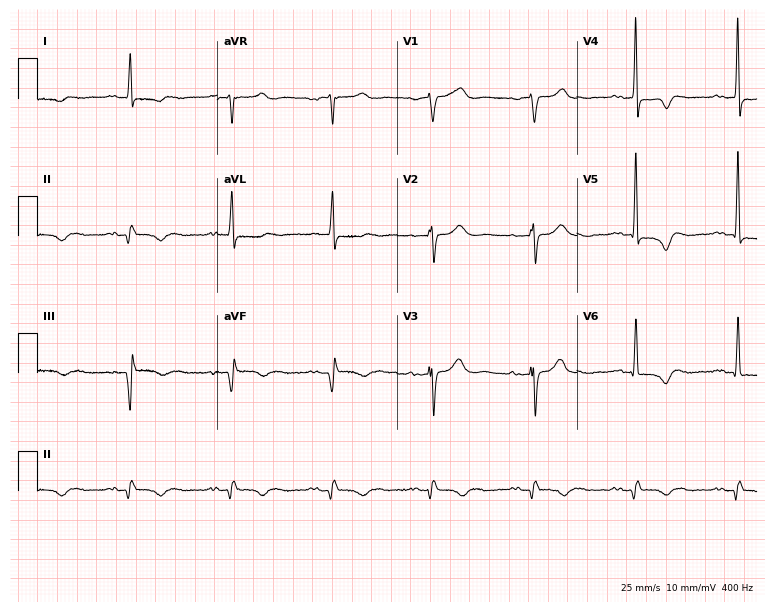
12-lead ECG from a male, 65 years old (7.3-second recording at 400 Hz). No first-degree AV block, right bundle branch block (RBBB), left bundle branch block (LBBB), sinus bradycardia, atrial fibrillation (AF) or sinus tachycardia recorded for this tracing. Only these six findings were labelled.